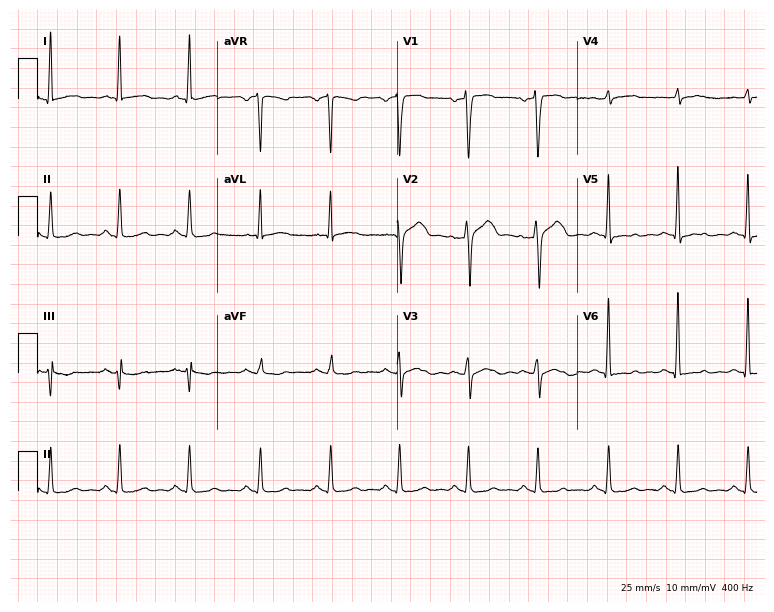
Resting 12-lead electrocardiogram (7.3-second recording at 400 Hz). Patient: a 47-year-old man. None of these six findings is recorded: first-degree AV block, right bundle branch block, left bundle branch block, sinus bradycardia, atrial fibrillation, sinus tachycardia. Findings outside these six are not listed.